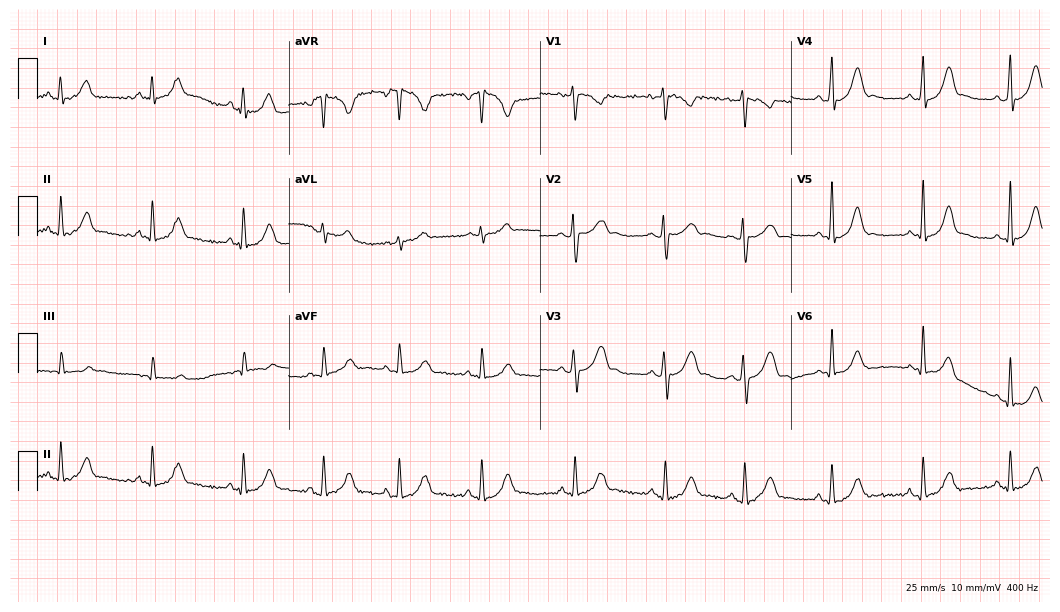
Resting 12-lead electrocardiogram. Patient: a 20-year-old female. None of these six findings is recorded: first-degree AV block, right bundle branch block, left bundle branch block, sinus bradycardia, atrial fibrillation, sinus tachycardia. Only these six findings were labelled.